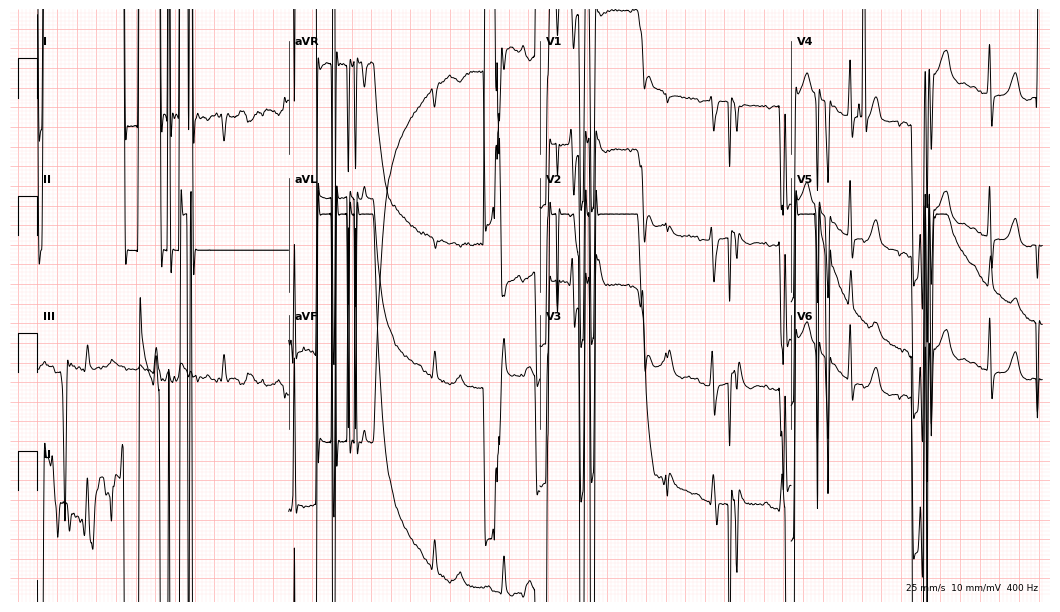
12-lead ECG from a 78-year-old female patient (10.2-second recording at 400 Hz). No first-degree AV block, right bundle branch block, left bundle branch block, sinus bradycardia, atrial fibrillation or sinus tachycardia recorded for this tracing. Only these six findings were labelled.